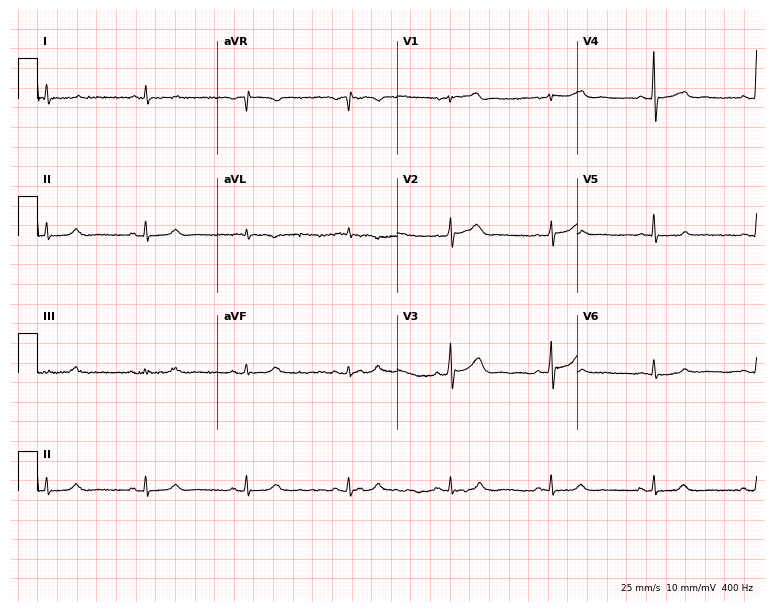
12-lead ECG (7.3-second recording at 400 Hz) from a man, 69 years old. Screened for six findings — first-degree AV block, right bundle branch block, left bundle branch block, sinus bradycardia, atrial fibrillation, sinus tachycardia — none is recorded.